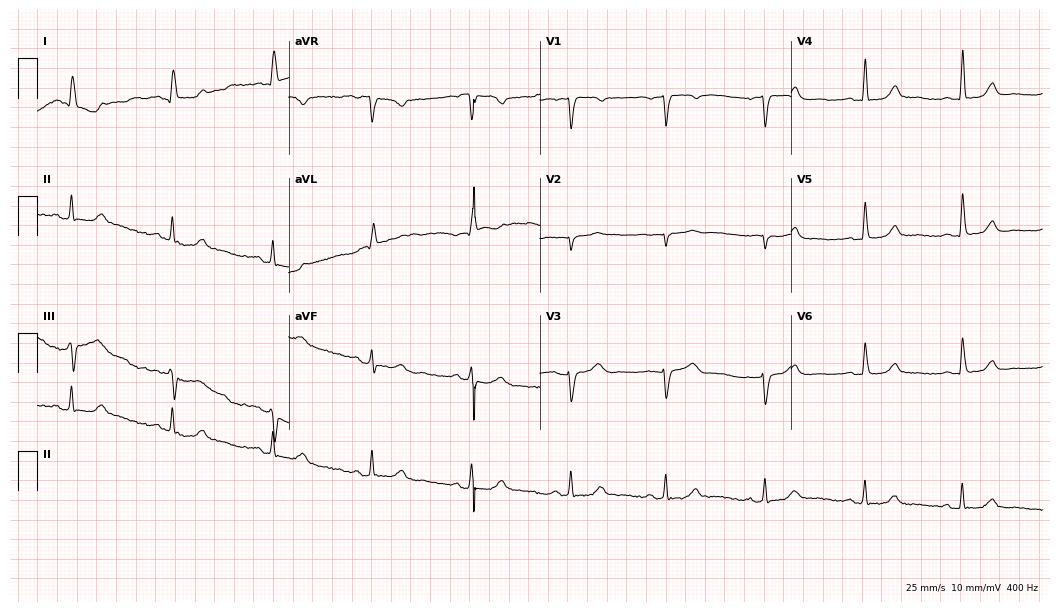
Resting 12-lead electrocardiogram (10.2-second recording at 400 Hz). Patient: a woman, 83 years old. Read as a normal ECG.